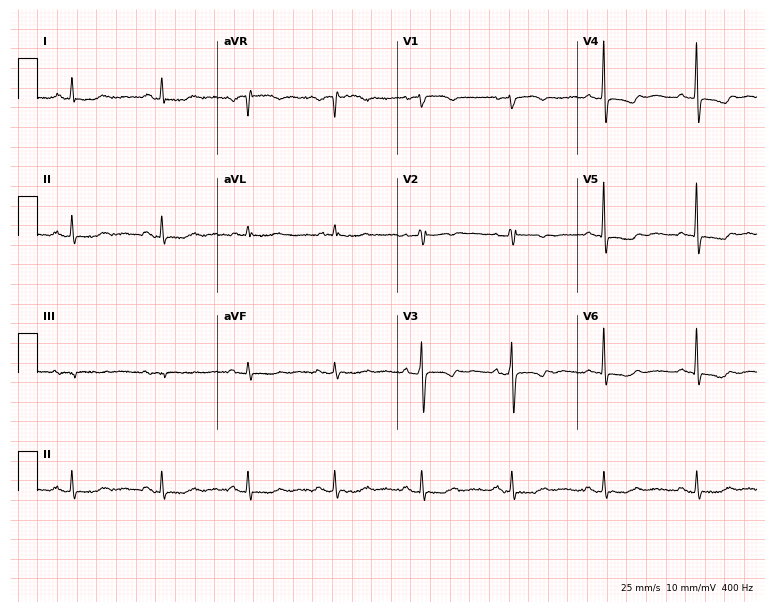
12-lead ECG (7.3-second recording at 400 Hz) from a 68-year-old female patient. Screened for six findings — first-degree AV block, right bundle branch block, left bundle branch block, sinus bradycardia, atrial fibrillation, sinus tachycardia — none is recorded. Only these six findings were labelled.